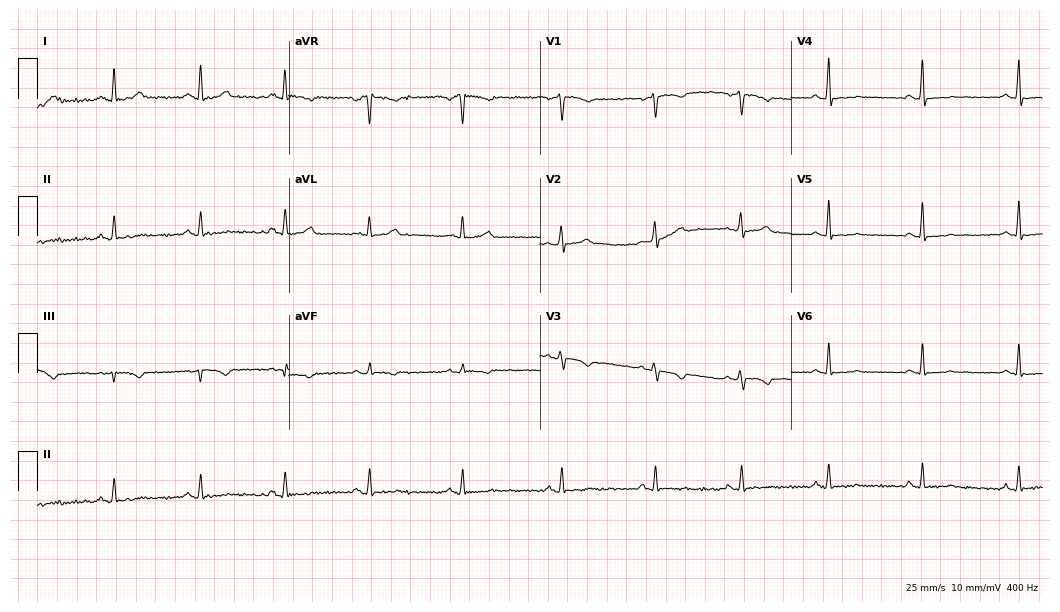
Standard 12-lead ECG recorded from a female patient, 48 years old. None of these six findings is recorded: first-degree AV block, right bundle branch block, left bundle branch block, sinus bradycardia, atrial fibrillation, sinus tachycardia.